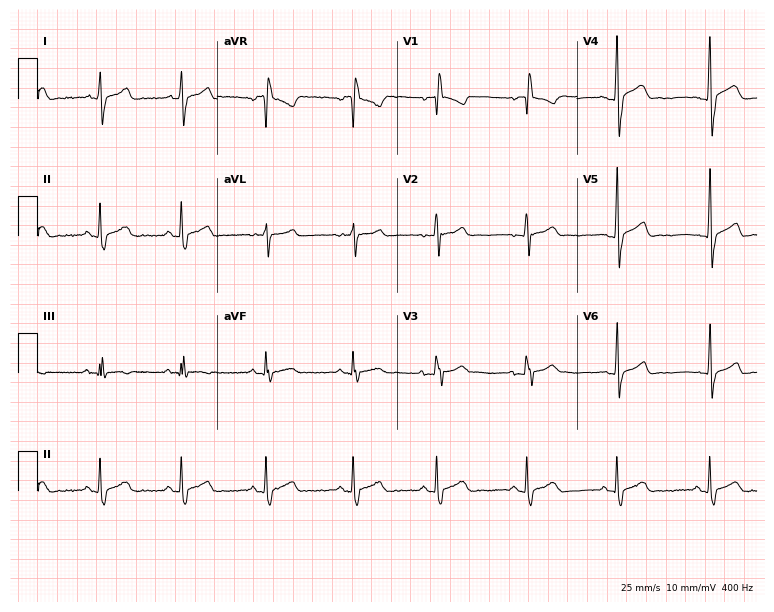
ECG — a male, 20 years old. Screened for six findings — first-degree AV block, right bundle branch block, left bundle branch block, sinus bradycardia, atrial fibrillation, sinus tachycardia — none is recorded.